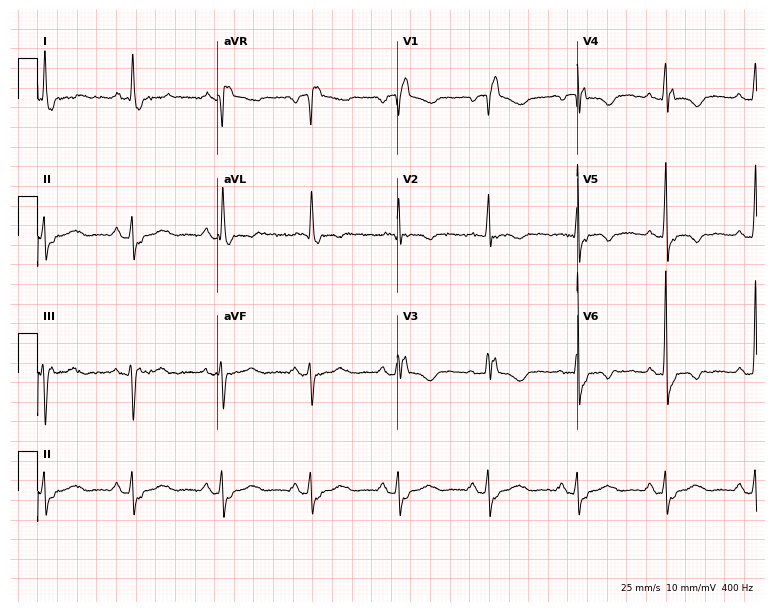
Standard 12-lead ECG recorded from a 66-year-old woman. The tracing shows right bundle branch block.